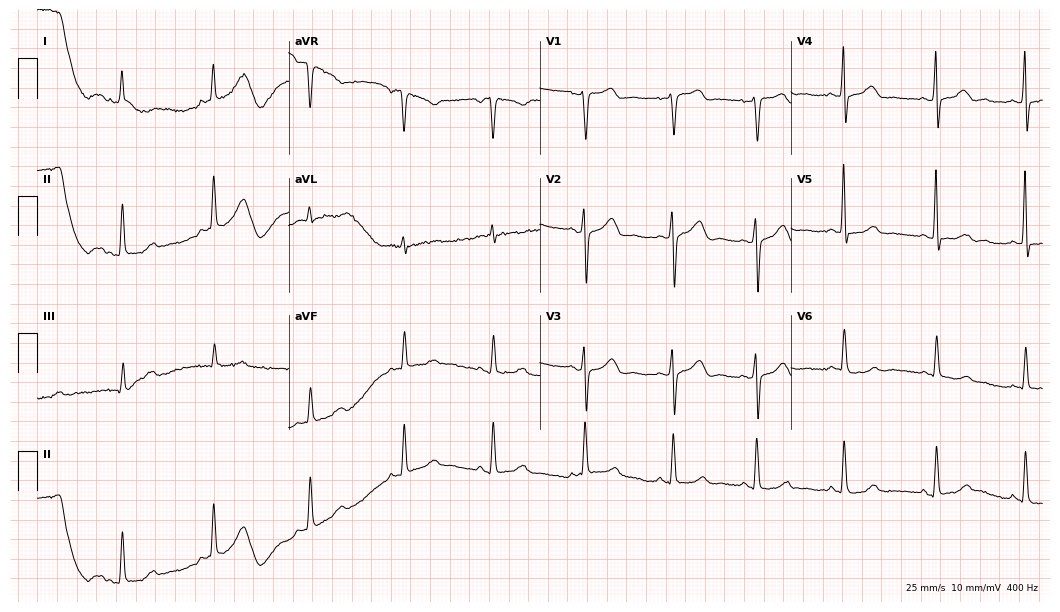
Electrocardiogram (10.2-second recording at 400 Hz), a 48-year-old female. Overall reading on record: normal ECG.